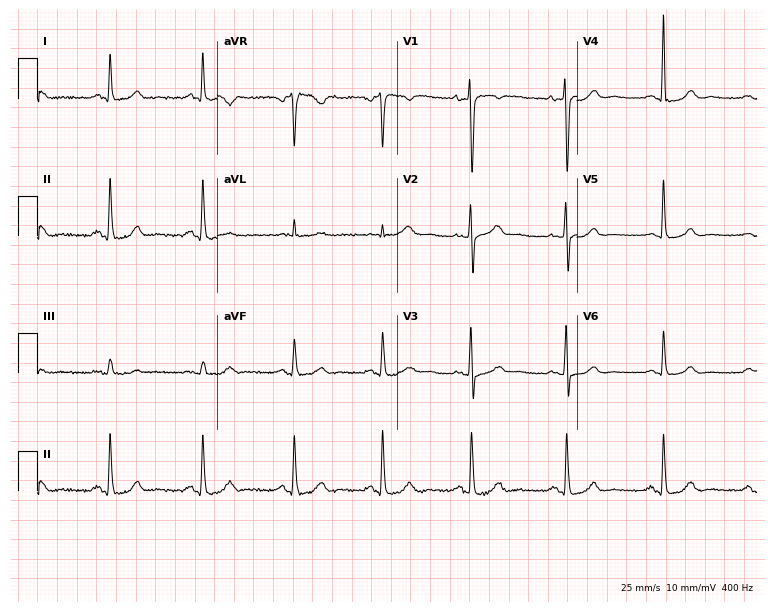
12-lead ECG from a 59-year-old woman. Screened for six findings — first-degree AV block, right bundle branch block (RBBB), left bundle branch block (LBBB), sinus bradycardia, atrial fibrillation (AF), sinus tachycardia — none is recorded.